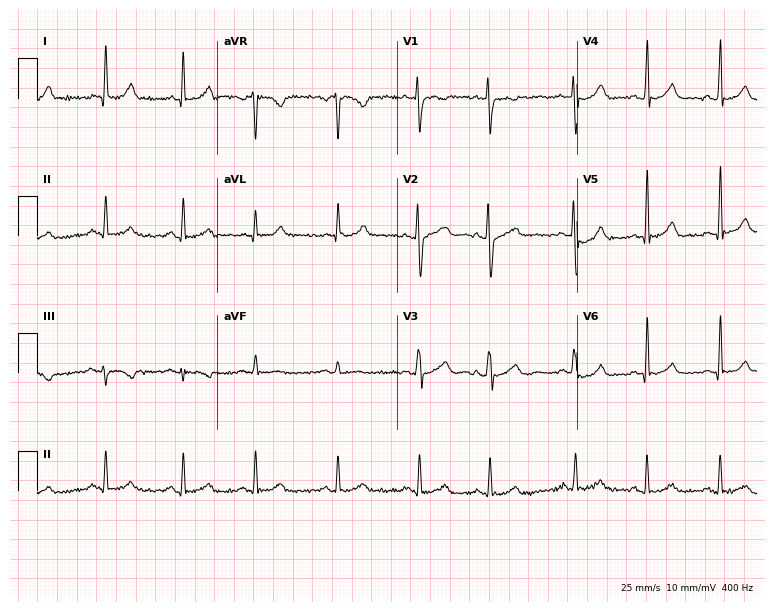
12-lead ECG (7.3-second recording at 400 Hz) from a 24-year-old female. Labelled as a normal ECG.